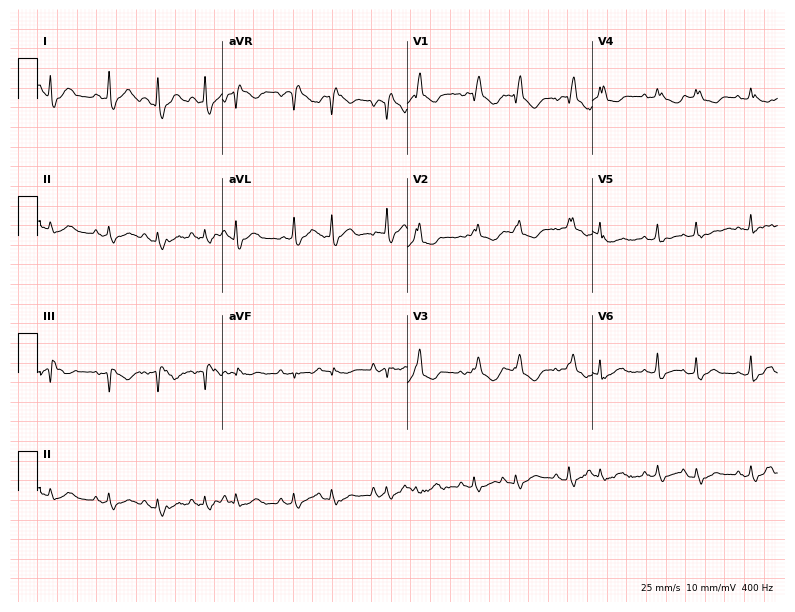
12-lead ECG from a female patient, 81 years old. No first-degree AV block, right bundle branch block (RBBB), left bundle branch block (LBBB), sinus bradycardia, atrial fibrillation (AF) or sinus tachycardia recorded for this tracing.